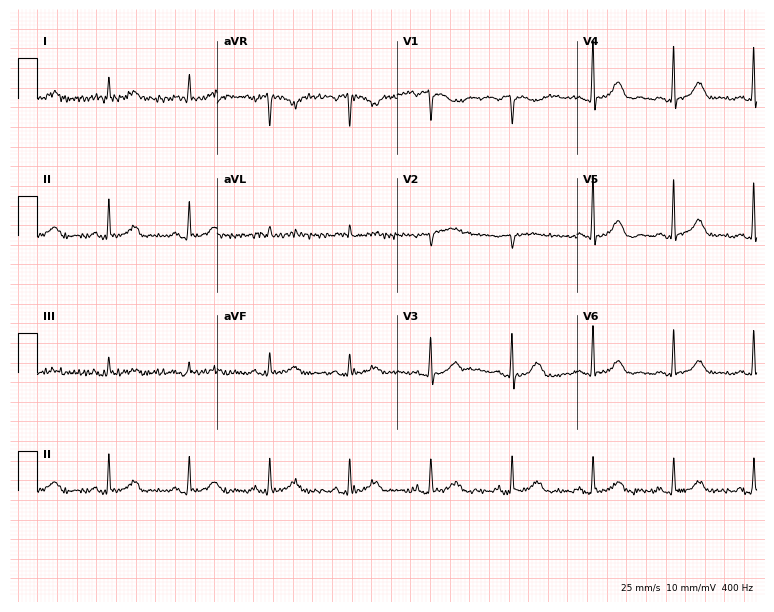
Resting 12-lead electrocardiogram (7.3-second recording at 400 Hz). Patient: a 67-year-old female. Read as a normal ECG.